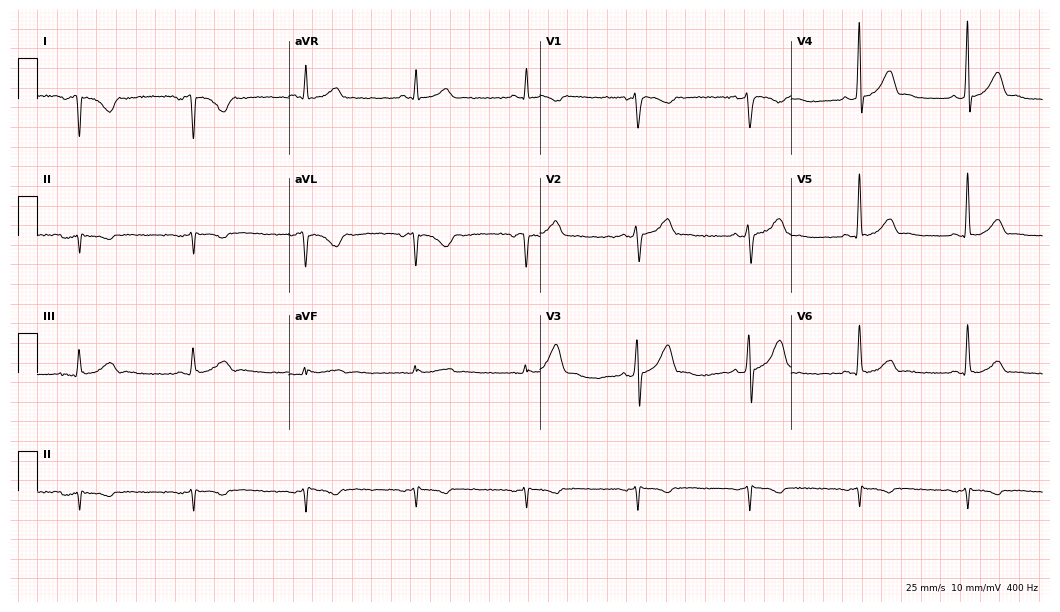
Resting 12-lead electrocardiogram (10.2-second recording at 400 Hz). Patient: a male, 48 years old. None of these six findings is recorded: first-degree AV block, right bundle branch block, left bundle branch block, sinus bradycardia, atrial fibrillation, sinus tachycardia.